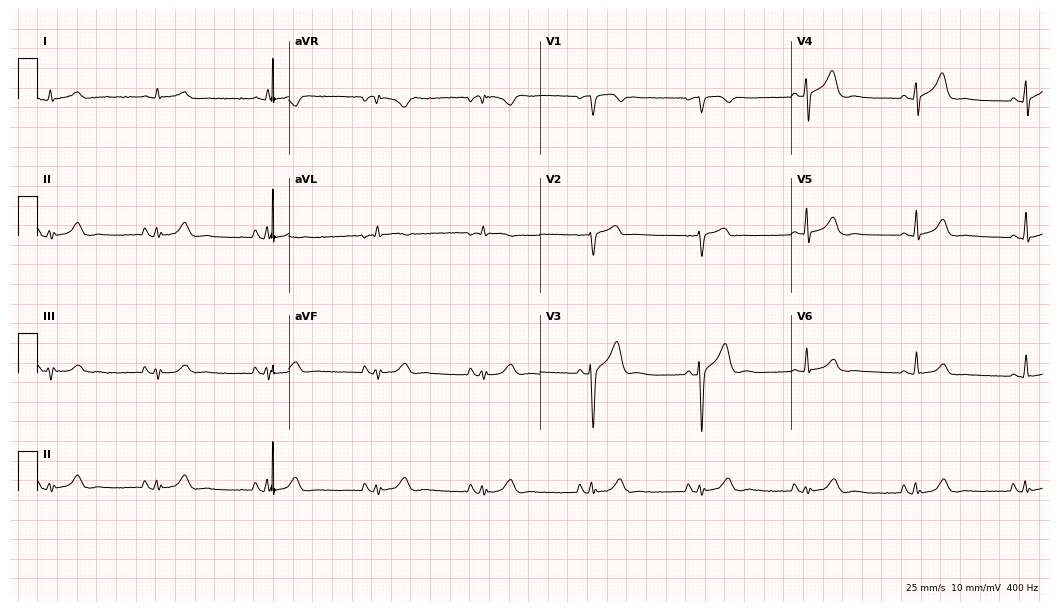
Resting 12-lead electrocardiogram. Patient: a man, 70 years old. Read as a normal ECG.